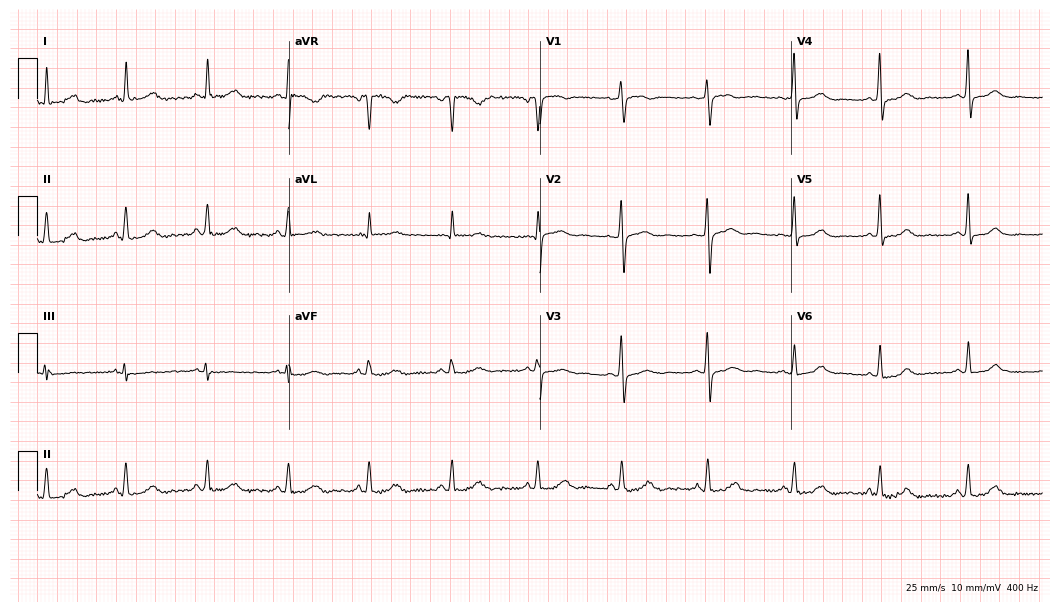
ECG — a 57-year-old female patient. Labelled as a normal ECG.